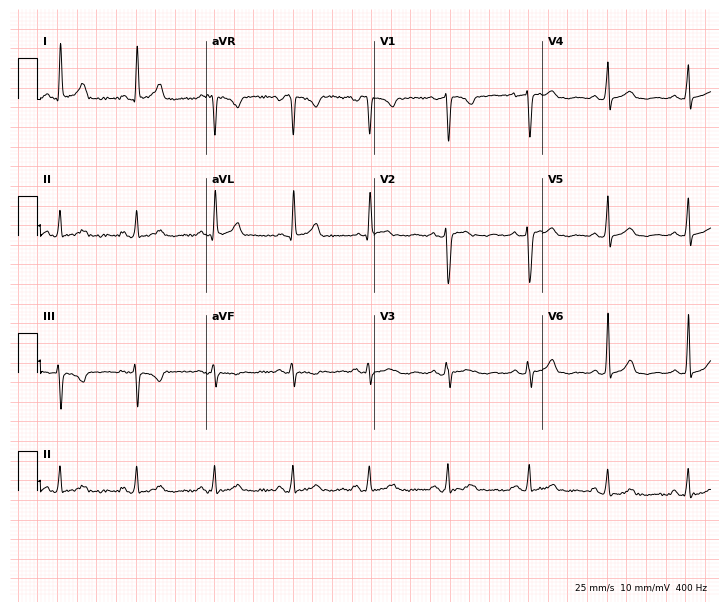
12-lead ECG from a female patient, 31 years old. Recorded interpretation: within normal limits.